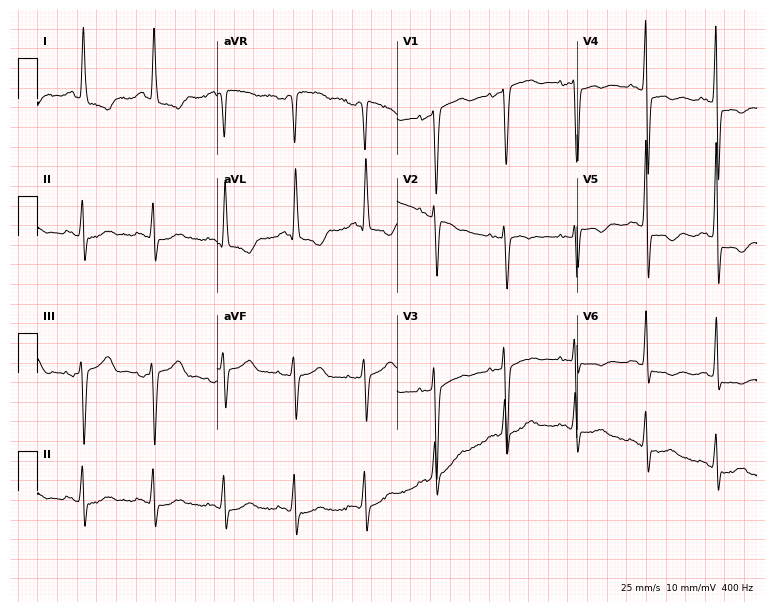
12-lead ECG (7.3-second recording at 400 Hz) from a woman, 84 years old. Screened for six findings — first-degree AV block, right bundle branch block, left bundle branch block, sinus bradycardia, atrial fibrillation, sinus tachycardia — none is recorded. Only these six findings were labelled.